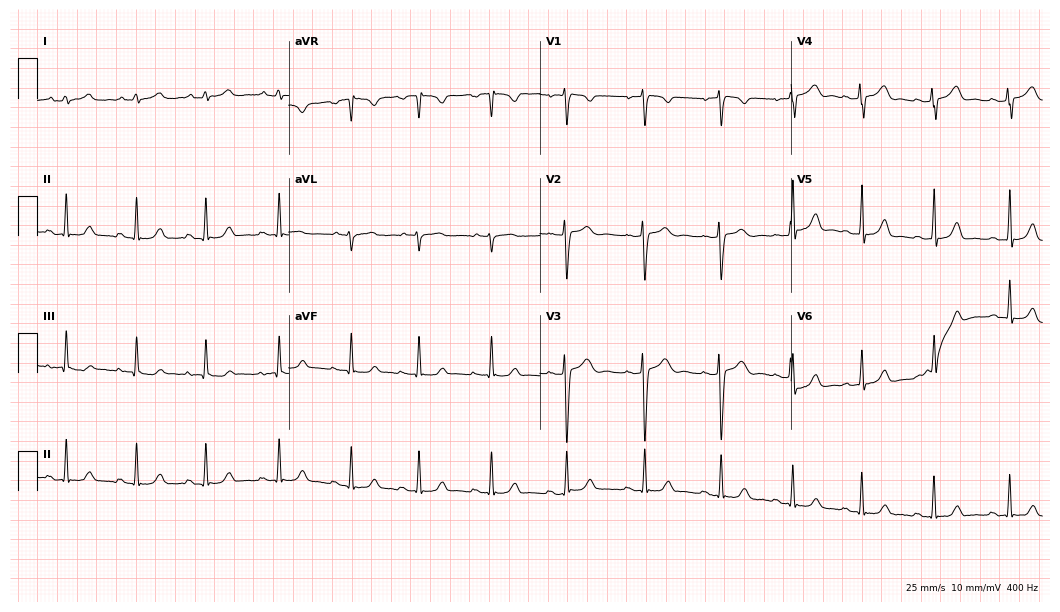
ECG — a 22-year-old female. Labelled as a normal ECG.